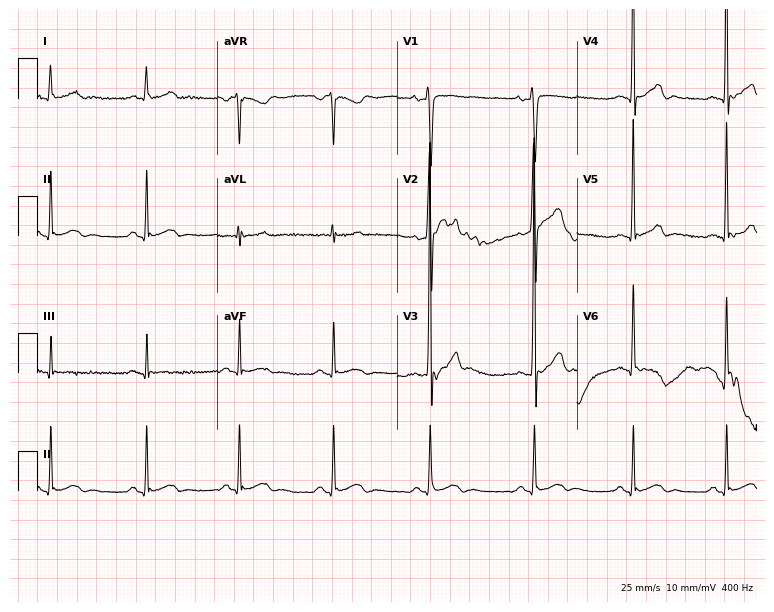
12-lead ECG from a 22-year-old male. Shows left bundle branch block.